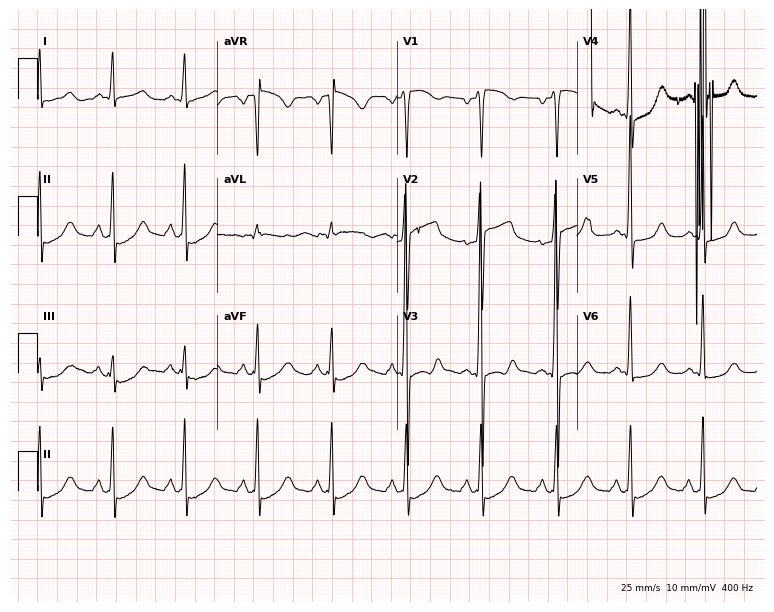
Standard 12-lead ECG recorded from a 41-year-old male patient. None of these six findings is recorded: first-degree AV block, right bundle branch block (RBBB), left bundle branch block (LBBB), sinus bradycardia, atrial fibrillation (AF), sinus tachycardia.